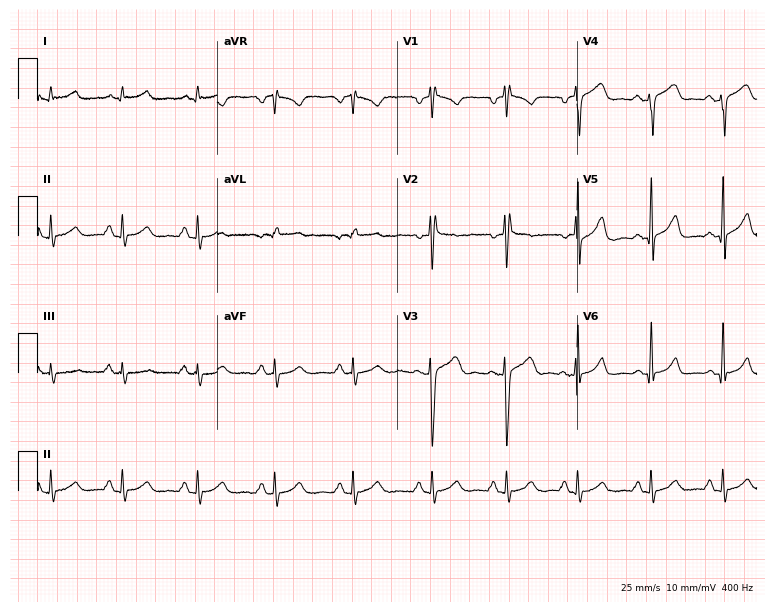
Electrocardiogram (7.3-second recording at 400 Hz), a male, 25 years old. Overall reading on record: normal ECG.